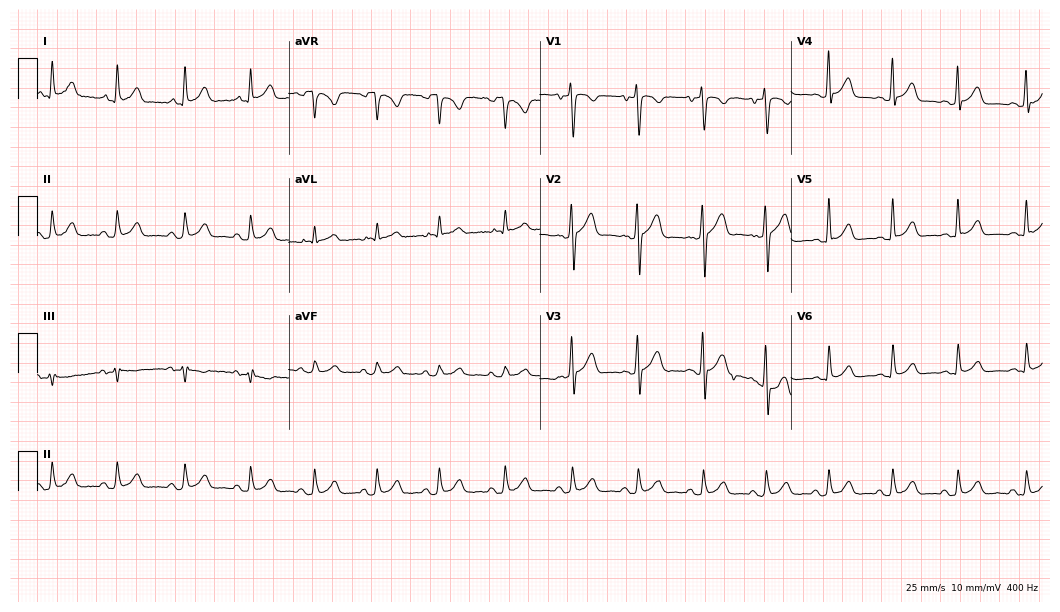
12-lead ECG (10.2-second recording at 400 Hz) from a male, 32 years old. Labelled as a normal ECG.